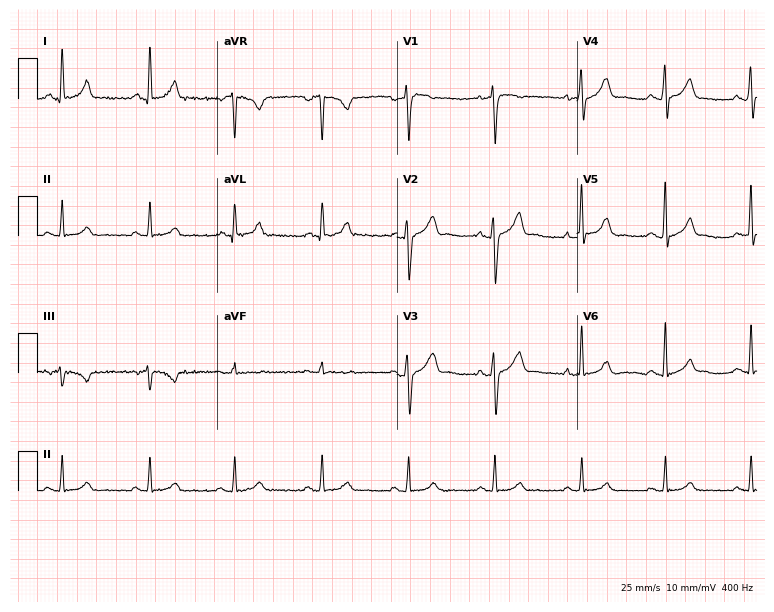
ECG — a male patient, 39 years old. Labelled as a normal ECG.